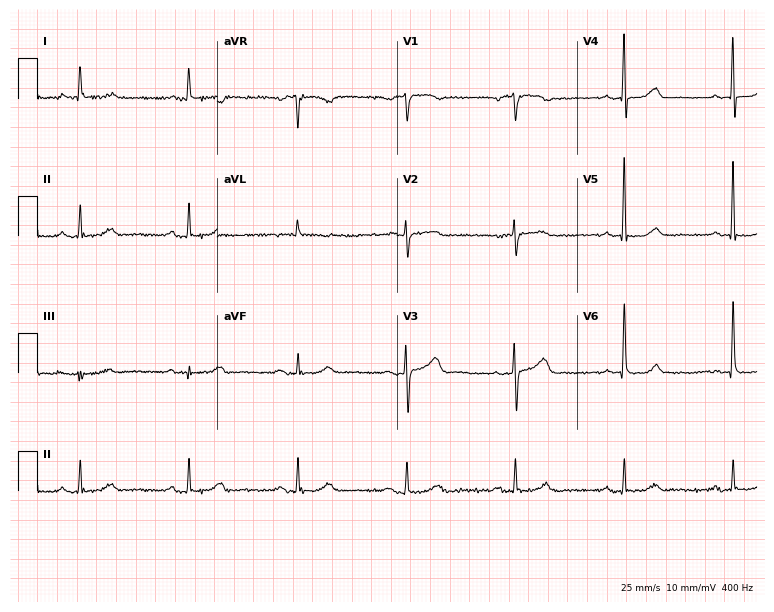
Standard 12-lead ECG recorded from an 83-year-old male patient (7.3-second recording at 400 Hz). The tracing shows first-degree AV block.